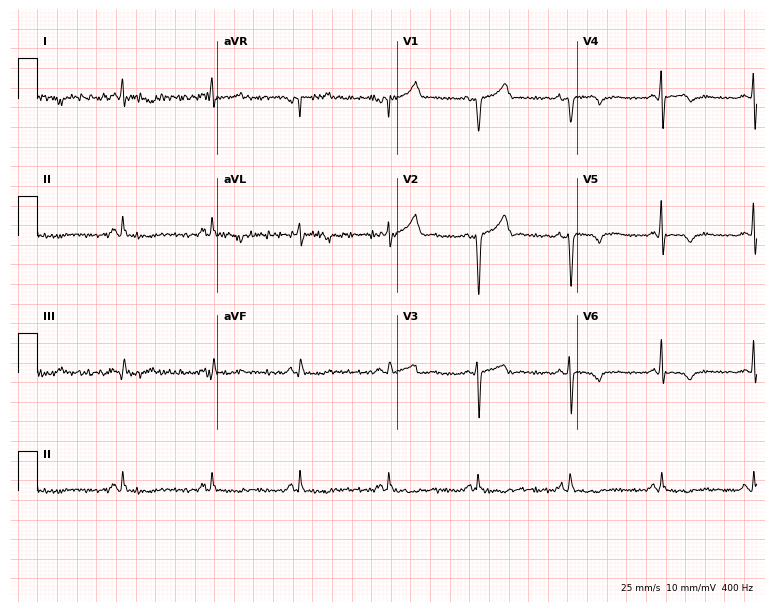
ECG — a male patient, 77 years old. Screened for six findings — first-degree AV block, right bundle branch block (RBBB), left bundle branch block (LBBB), sinus bradycardia, atrial fibrillation (AF), sinus tachycardia — none is recorded.